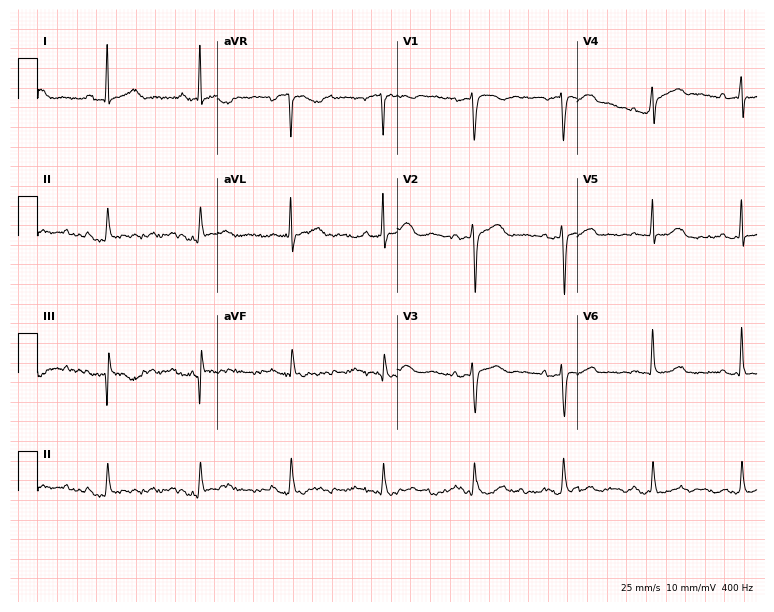
ECG — a 59-year-old woman. Labelled as a normal ECG.